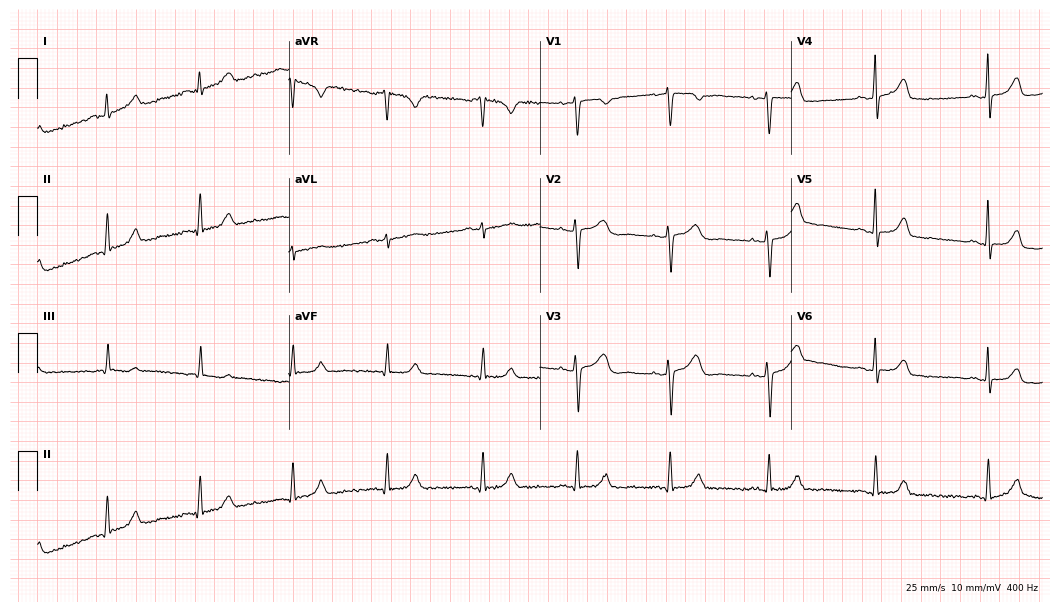
Standard 12-lead ECG recorded from a 51-year-old female patient (10.2-second recording at 400 Hz). None of these six findings is recorded: first-degree AV block, right bundle branch block, left bundle branch block, sinus bradycardia, atrial fibrillation, sinus tachycardia. Only these six findings were labelled.